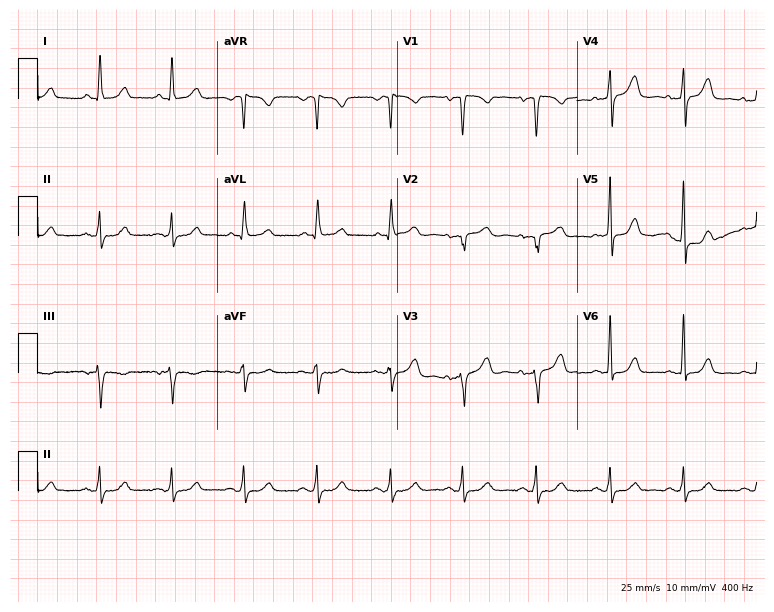
12-lead ECG (7.3-second recording at 400 Hz) from a 47-year-old female. Screened for six findings — first-degree AV block, right bundle branch block, left bundle branch block, sinus bradycardia, atrial fibrillation, sinus tachycardia — none is recorded. Other findings, if any, are not listed.